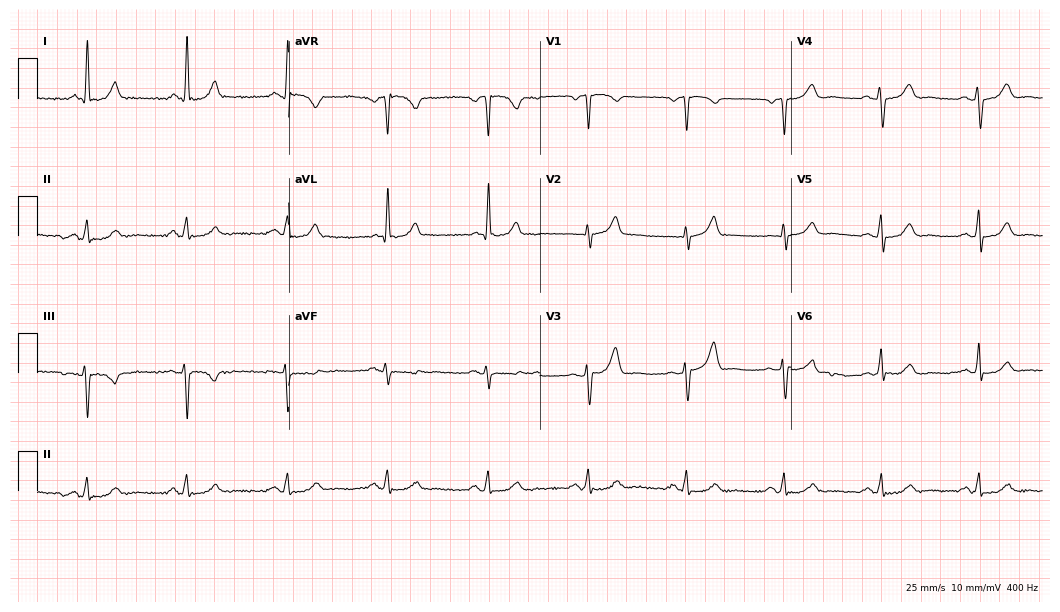
12-lead ECG (10.2-second recording at 400 Hz) from a 65-year-old male patient. Screened for six findings — first-degree AV block, right bundle branch block (RBBB), left bundle branch block (LBBB), sinus bradycardia, atrial fibrillation (AF), sinus tachycardia — none is recorded.